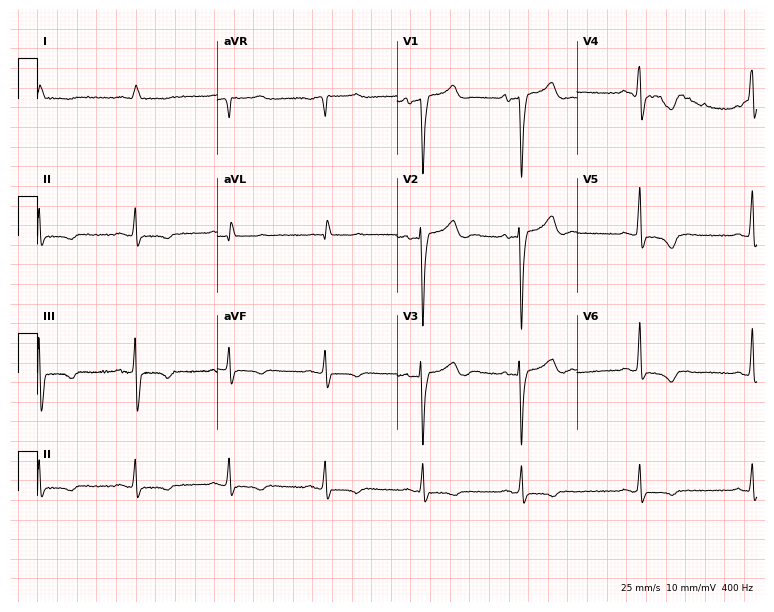
12-lead ECG from a female patient, 82 years old. No first-degree AV block, right bundle branch block, left bundle branch block, sinus bradycardia, atrial fibrillation or sinus tachycardia recorded for this tracing. Other findings, if any, are not listed.